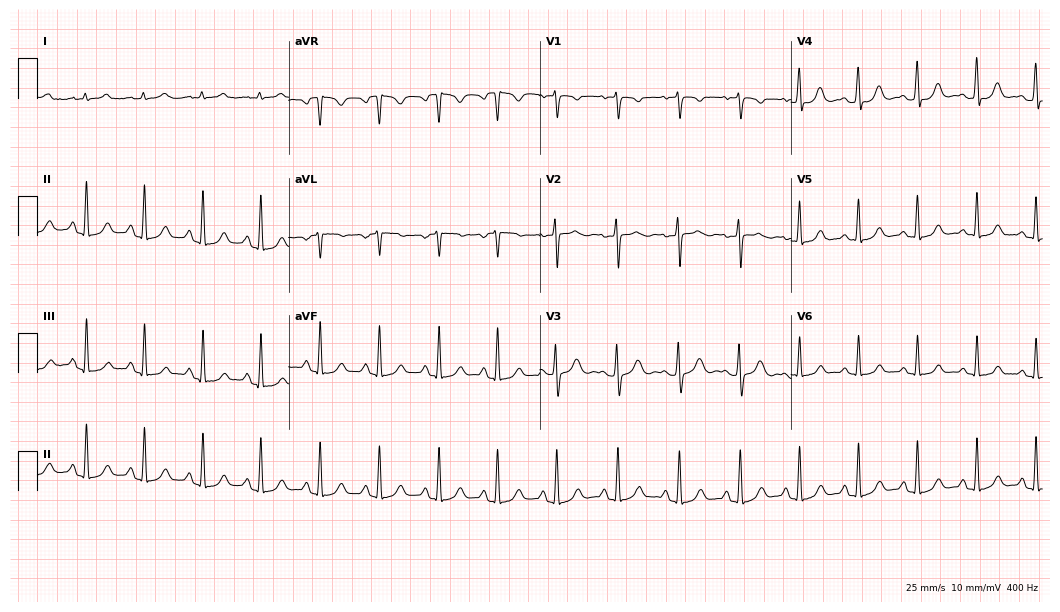
Electrocardiogram, a female patient, 23 years old. Overall reading on record: normal ECG.